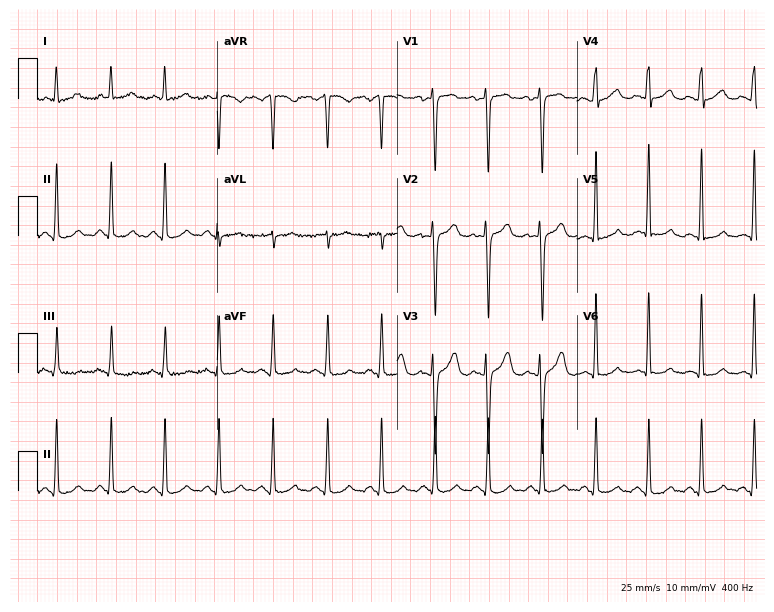
ECG (7.3-second recording at 400 Hz) — a 30-year-old female. Findings include sinus tachycardia (a sinus rate of 100 beats per minute or more).